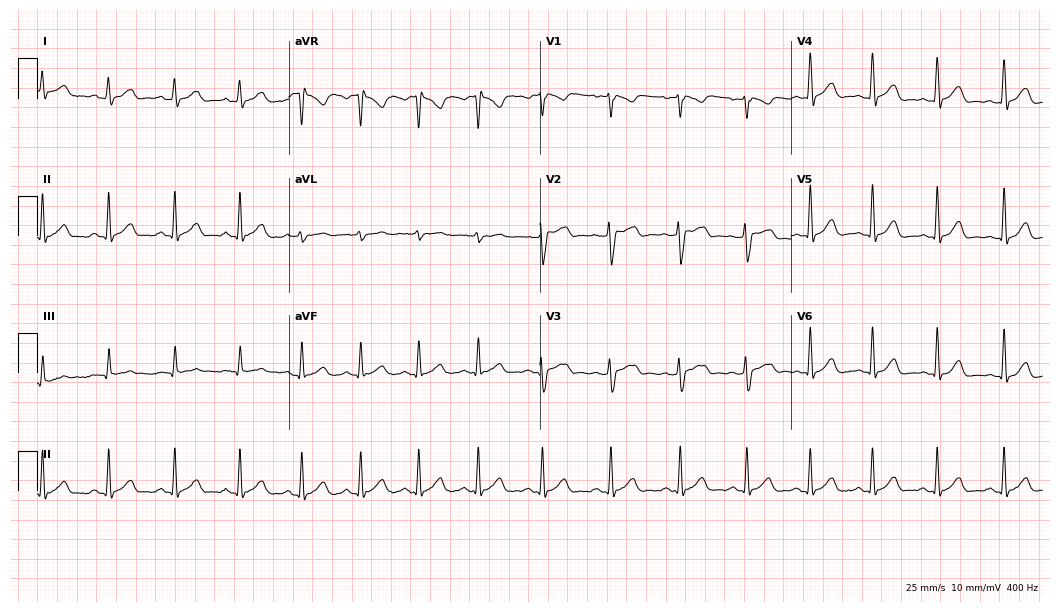
Standard 12-lead ECG recorded from a 32-year-old female (10.2-second recording at 400 Hz). None of these six findings is recorded: first-degree AV block, right bundle branch block, left bundle branch block, sinus bradycardia, atrial fibrillation, sinus tachycardia.